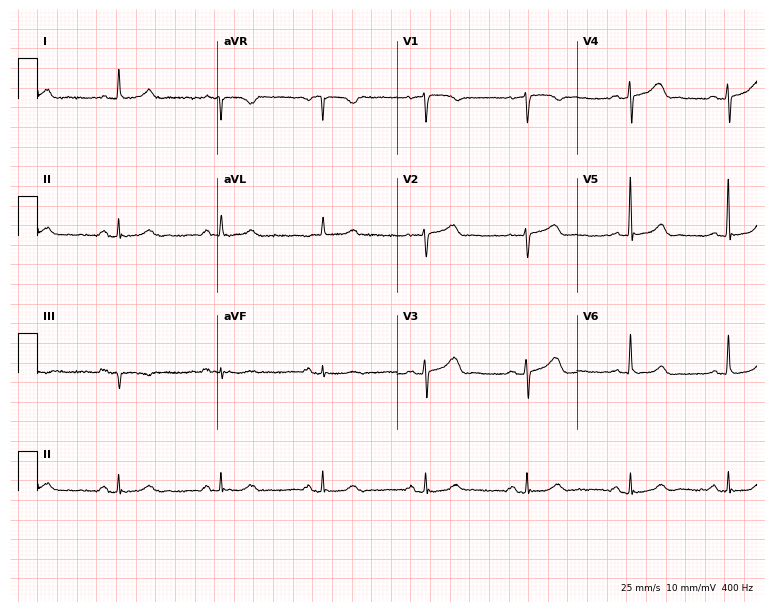
Resting 12-lead electrocardiogram (7.3-second recording at 400 Hz). Patient: a 72-year-old female. None of these six findings is recorded: first-degree AV block, right bundle branch block, left bundle branch block, sinus bradycardia, atrial fibrillation, sinus tachycardia. Other findings, if any, are not listed.